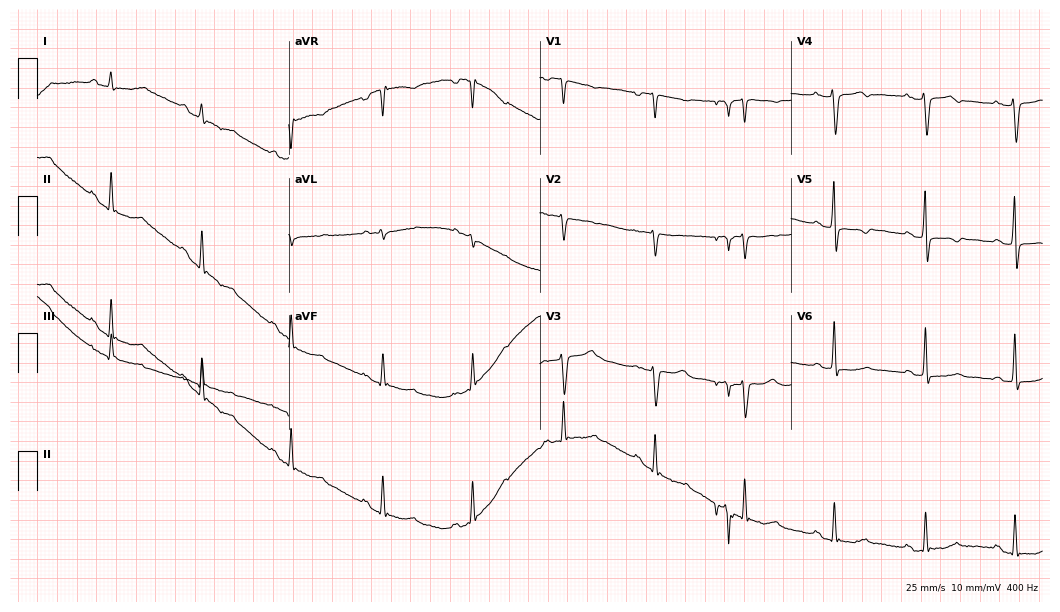
12-lead ECG from a 60-year-old female (10.2-second recording at 400 Hz). Recorded interpretation: within normal limits.